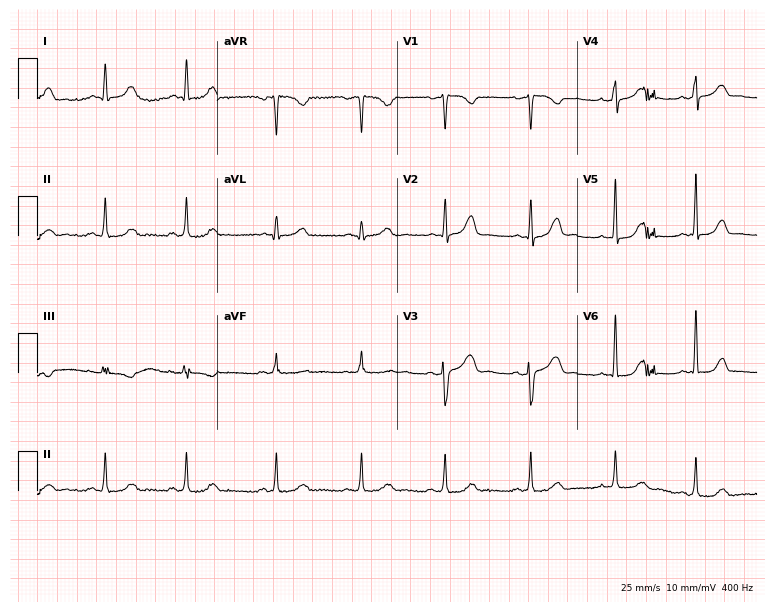
Resting 12-lead electrocardiogram (7.3-second recording at 400 Hz). Patient: a 39-year-old female. Read as a normal ECG.